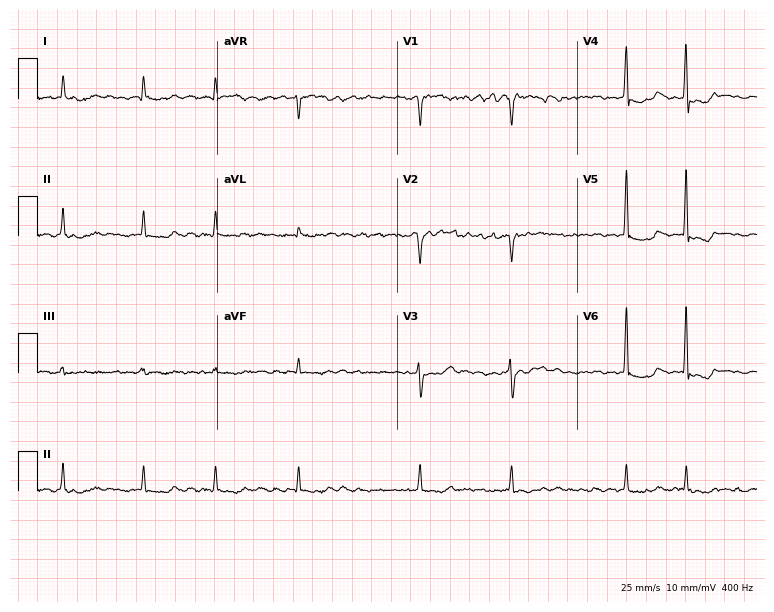
Electrocardiogram, a female, 47 years old. Interpretation includes atrial fibrillation.